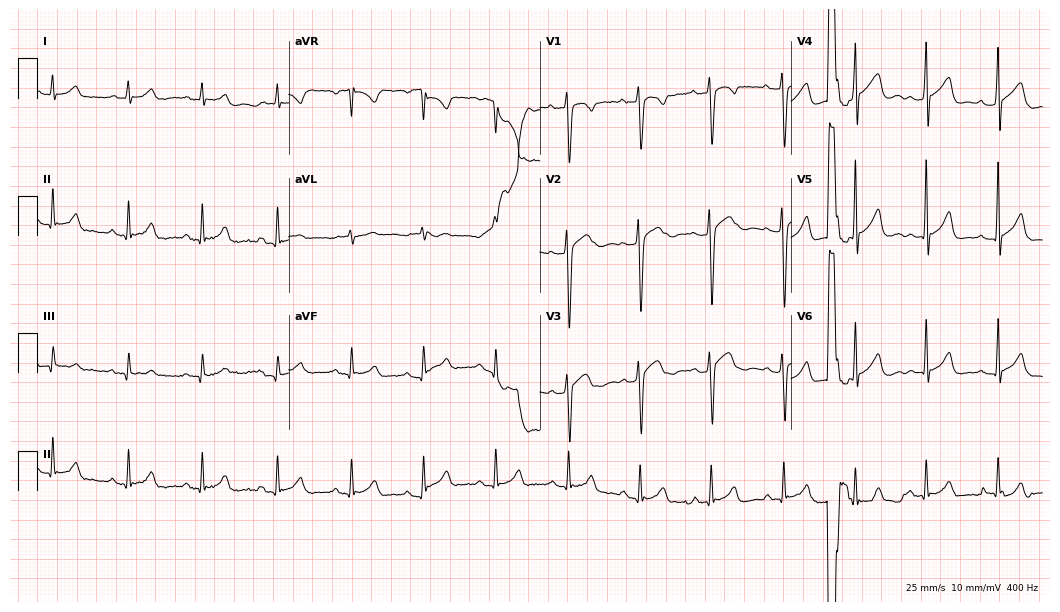
Electrocardiogram (10.2-second recording at 400 Hz), a 17-year-old man. Overall reading on record: normal ECG.